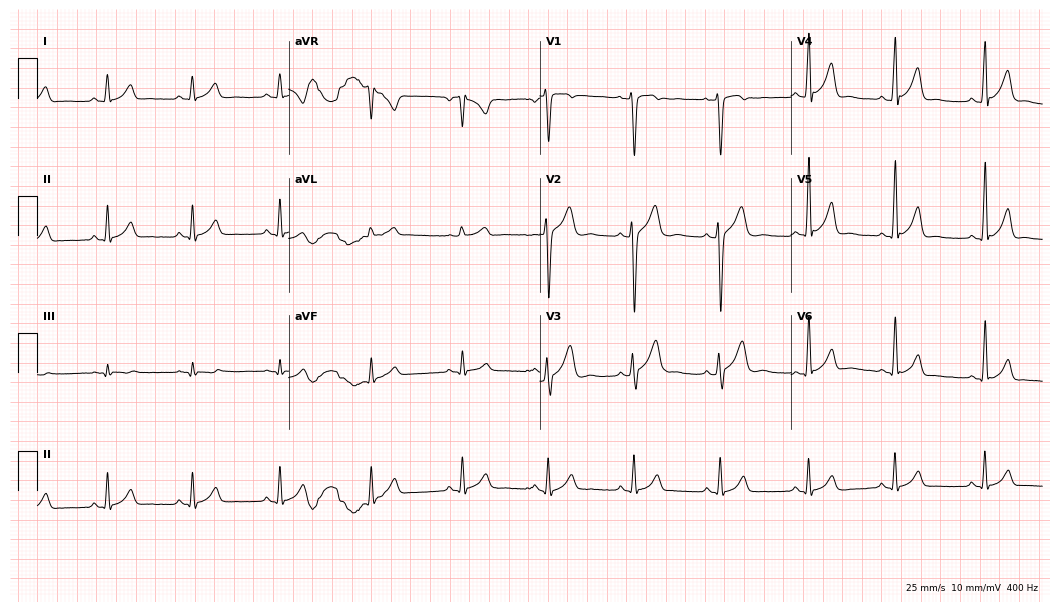
12-lead ECG from a male, 22 years old. Recorded interpretation: within normal limits.